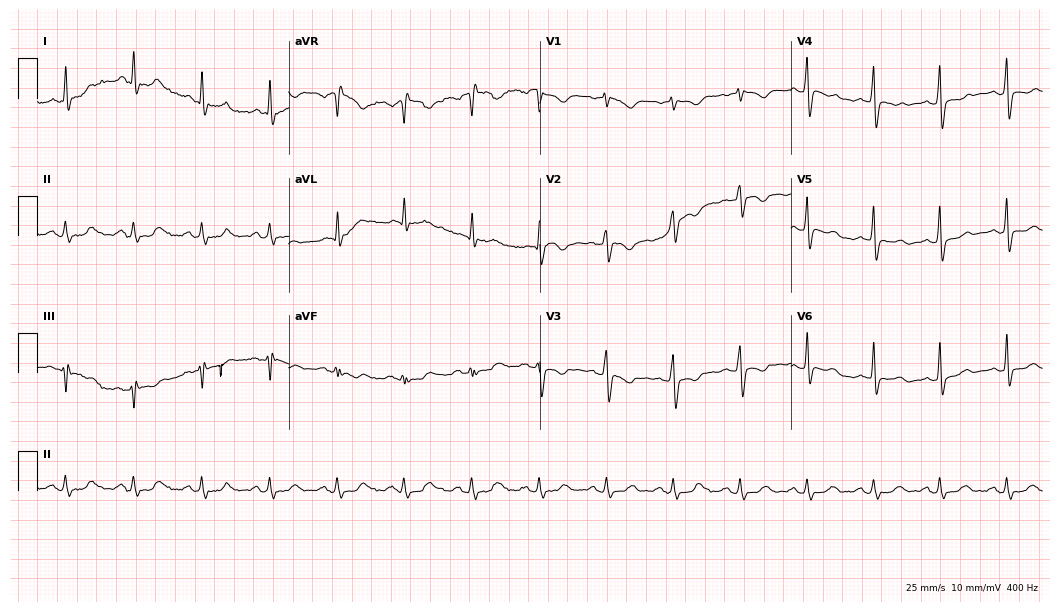
Electrocardiogram, a 37-year-old female patient. Of the six screened findings (first-degree AV block, right bundle branch block (RBBB), left bundle branch block (LBBB), sinus bradycardia, atrial fibrillation (AF), sinus tachycardia), none is recorded.